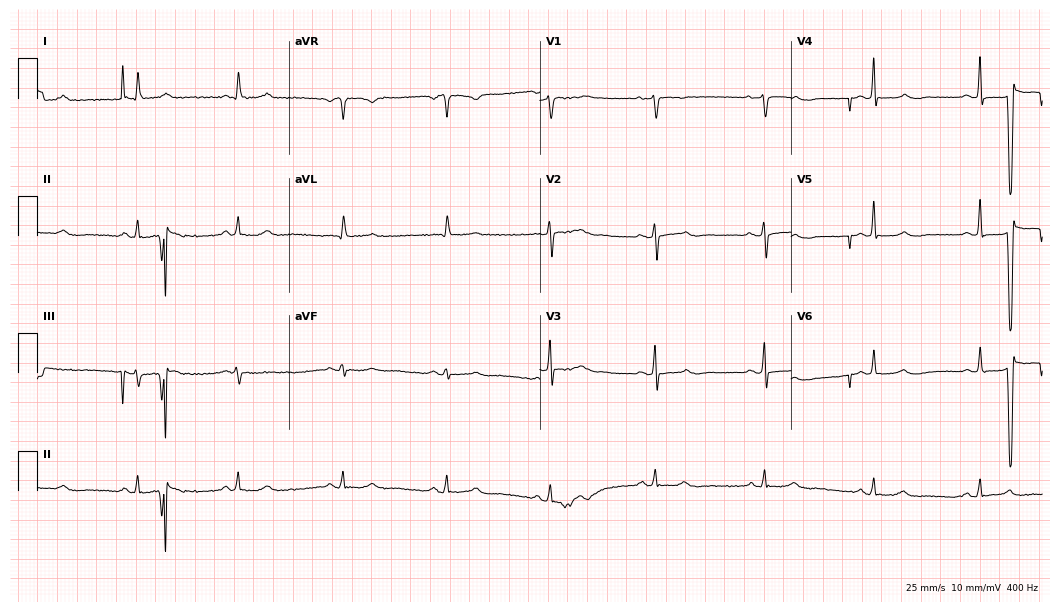
Standard 12-lead ECG recorded from a woman, 70 years old (10.2-second recording at 400 Hz). None of these six findings is recorded: first-degree AV block, right bundle branch block, left bundle branch block, sinus bradycardia, atrial fibrillation, sinus tachycardia.